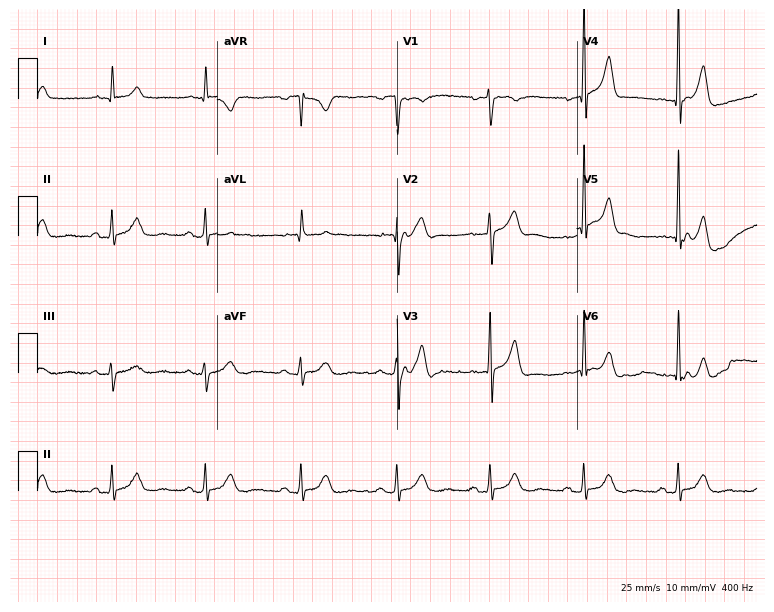
ECG — a 78-year-old male. Screened for six findings — first-degree AV block, right bundle branch block, left bundle branch block, sinus bradycardia, atrial fibrillation, sinus tachycardia — none is recorded.